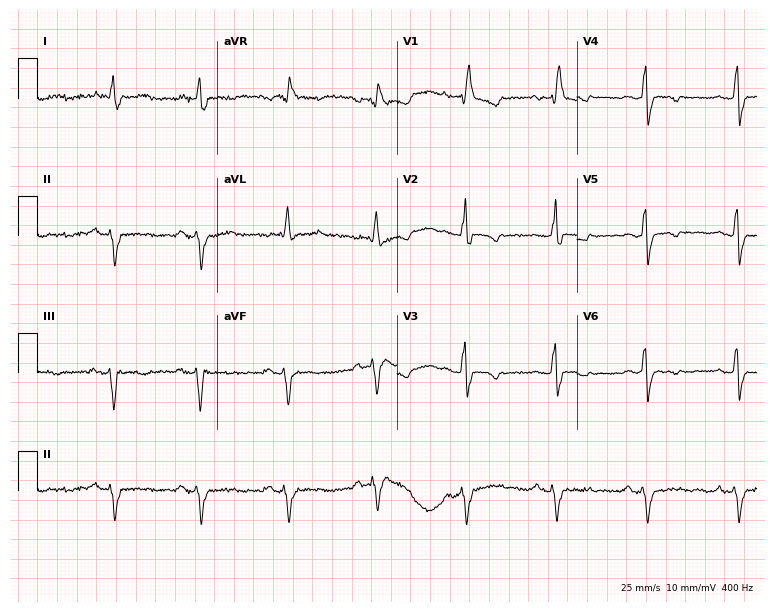
Resting 12-lead electrocardiogram. Patient: a 64-year-old male. The tracing shows right bundle branch block.